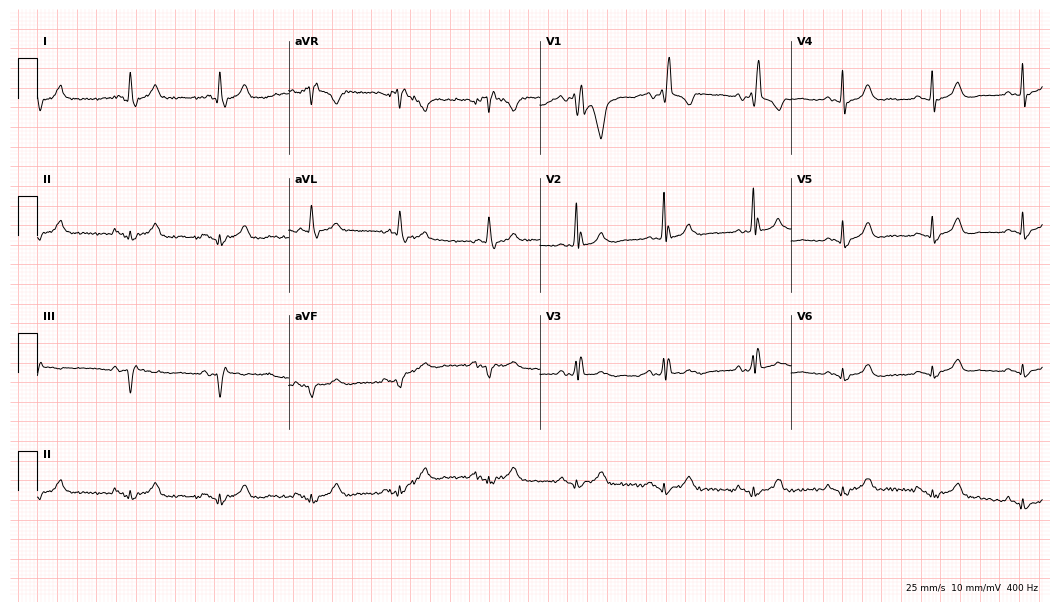
Standard 12-lead ECG recorded from a 66-year-old male patient (10.2-second recording at 400 Hz). The tracing shows right bundle branch block.